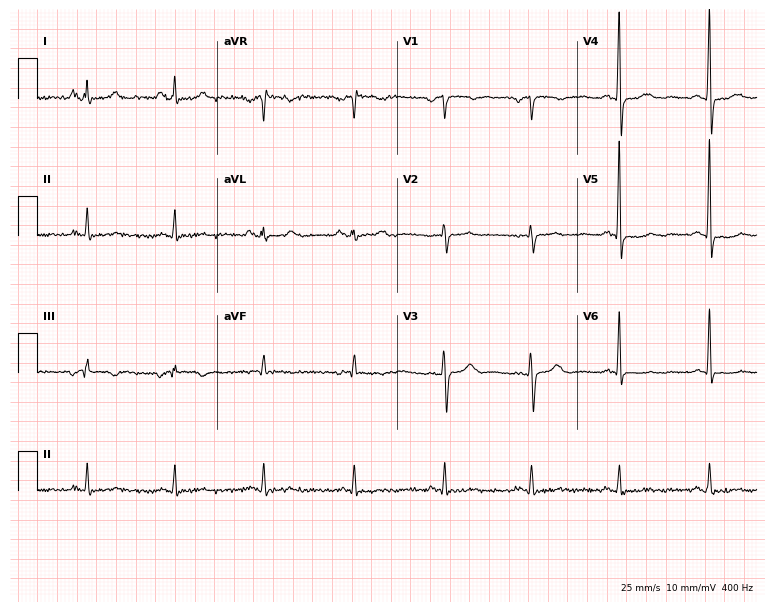
Resting 12-lead electrocardiogram (7.3-second recording at 400 Hz). Patient: a male, 68 years old. None of these six findings is recorded: first-degree AV block, right bundle branch block, left bundle branch block, sinus bradycardia, atrial fibrillation, sinus tachycardia.